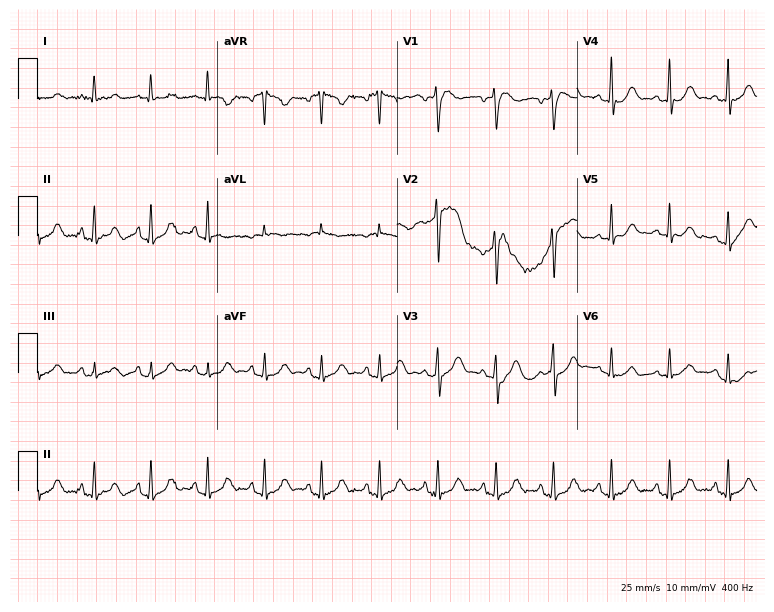
ECG — a 23-year-old female. Findings include sinus tachycardia (a sinus rate of 100 beats per minute or more).